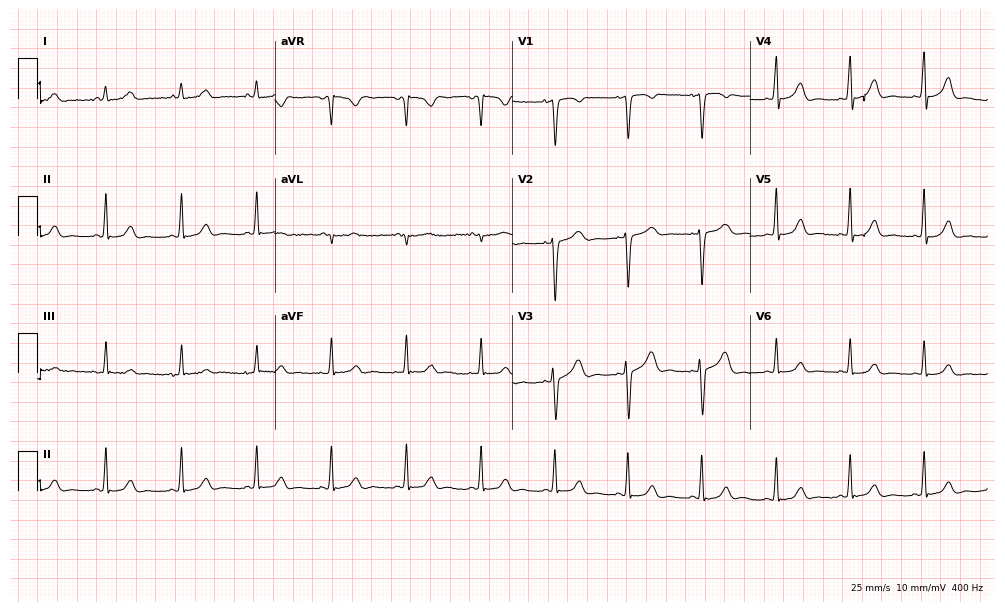
12-lead ECG from a woman, 20 years old. Recorded interpretation: within normal limits.